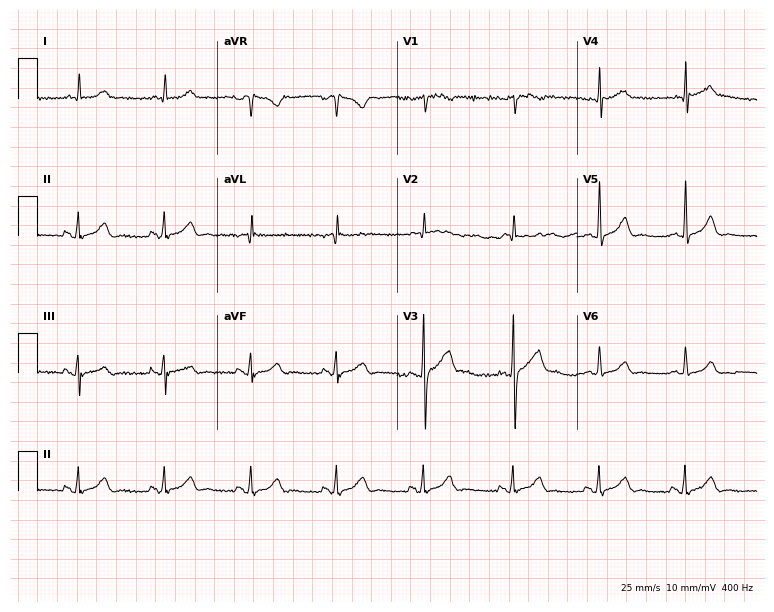
Resting 12-lead electrocardiogram. Patient: a male, 70 years old. Read as a normal ECG.